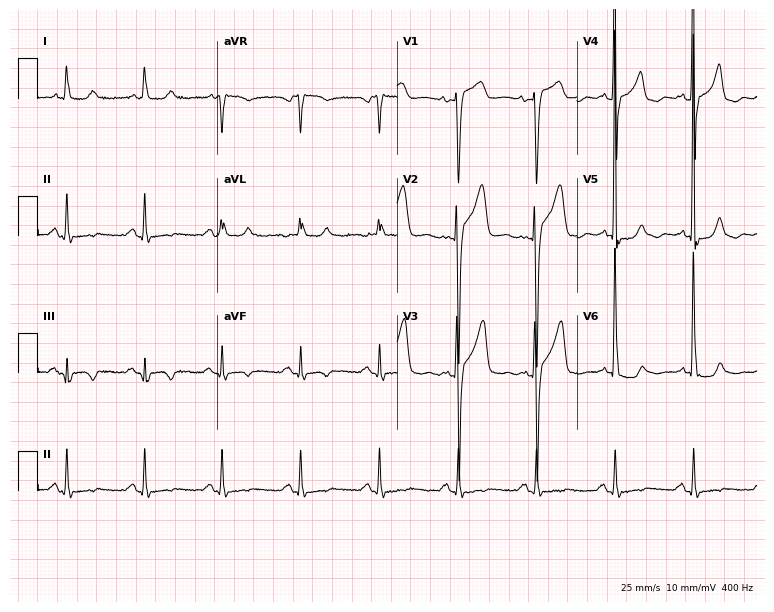
ECG — an 80-year-old male patient. Screened for six findings — first-degree AV block, right bundle branch block, left bundle branch block, sinus bradycardia, atrial fibrillation, sinus tachycardia — none is recorded. Other findings, if any, are not listed.